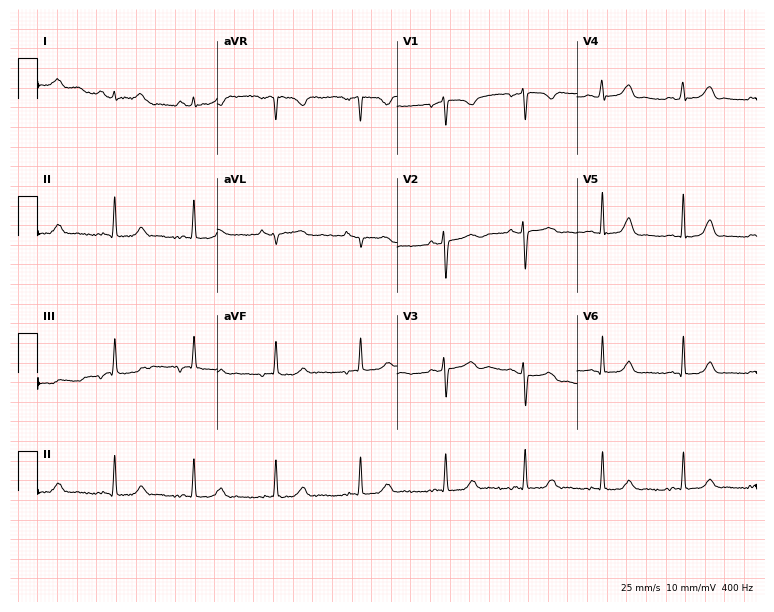
Electrocardiogram, a 20-year-old female patient. Of the six screened findings (first-degree AV block, right bundle branch block (RBBB), left bundle branch block (LBBB), sinus bradycardia, atrial fibrillation (AF), sinus tachycardia), none is recorded.